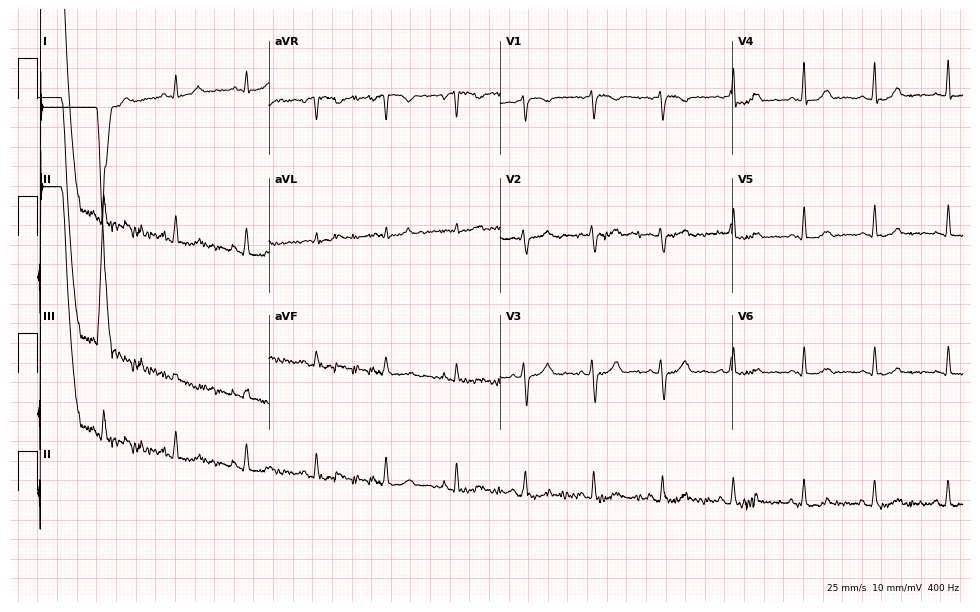
12-lead ECG from a 27-year-old female patient (9.4-second recording at 400 Hz). No first-degree AV block, right bundle branch block, left bundle branch block, sinus bradycardia, atrial fibrillation or sinus tachycardia recorded for this tracing. Other findings, if any, are not listed.